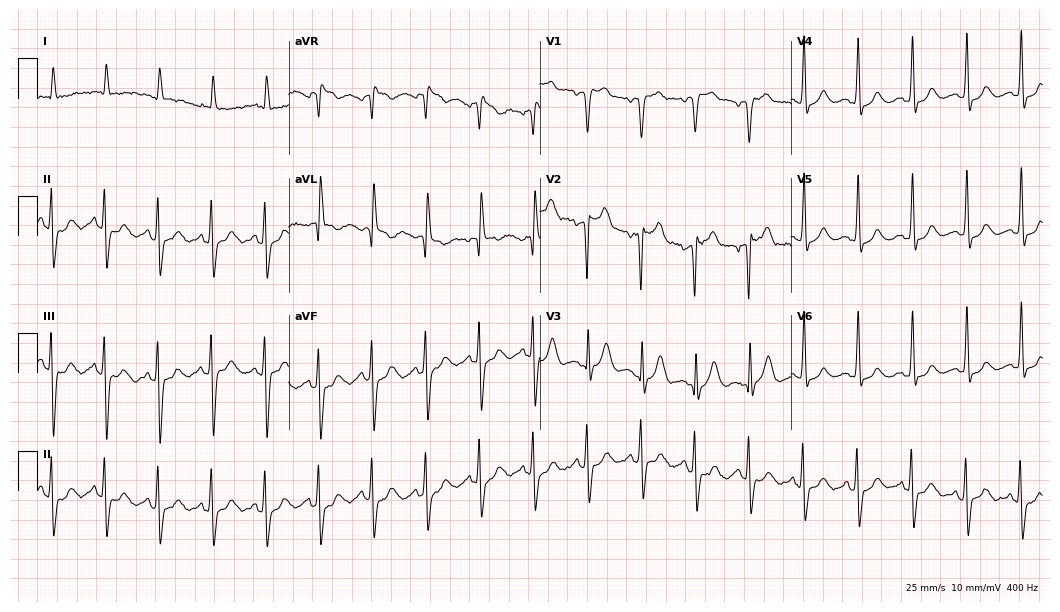
ECG — a female patient, 84 years old. Findings include sinus tachycardia (a sinus rate of 100 beats per minute or more).